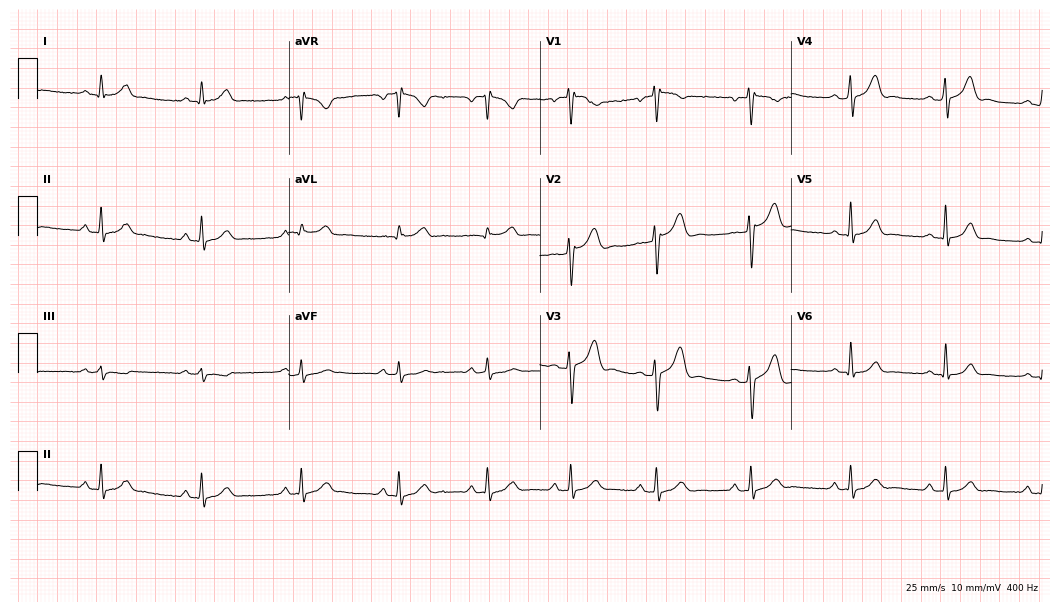
ECG — a 29-year-old man. Labelled as a normal ECG.